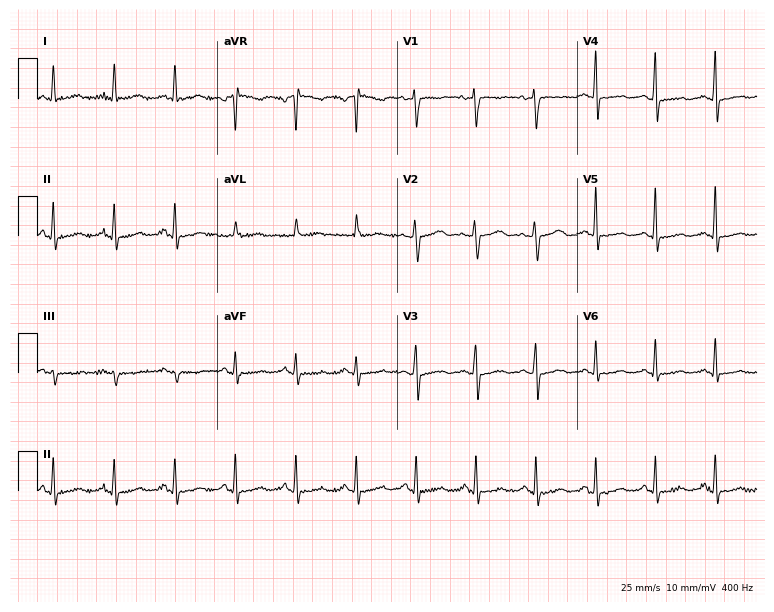
12-lead ECG from a 53-year-old female patient. Recorded interpretation: within normal limits.